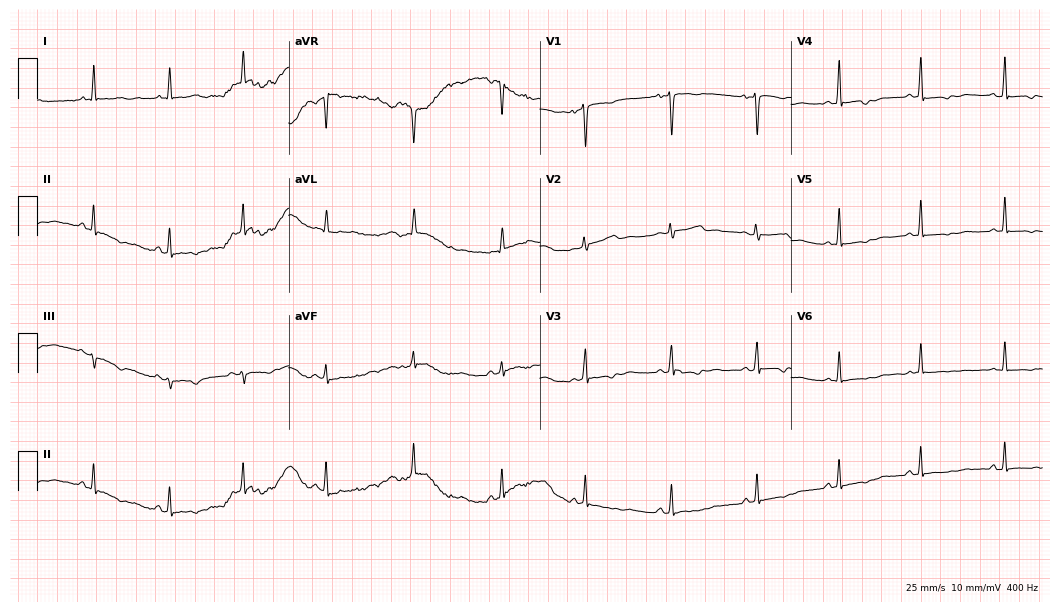
Resting 12-lead electrocardiogram. Patient: a female, 31 years old. None of these six findings is recorded: first-degree AV block, right bundle branch block, left bundle branch block, sinus bradycardia, atrial fibrillation, sinus tachycardia. Other findings, if any, are not listed.